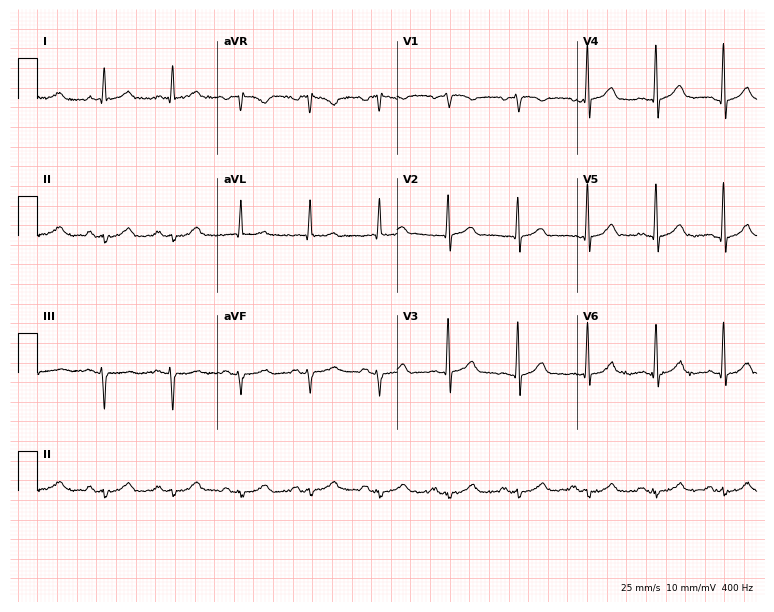
12-lead ECG (7.3-second recording at 400 Hz) from a male patient, 66 years old. Screened for six findings — first-degree AV block, right bundle branch block, left bundle branch block, sinus bradycardia, atrial fibrillation, sinus tachycardia — none is recorded.